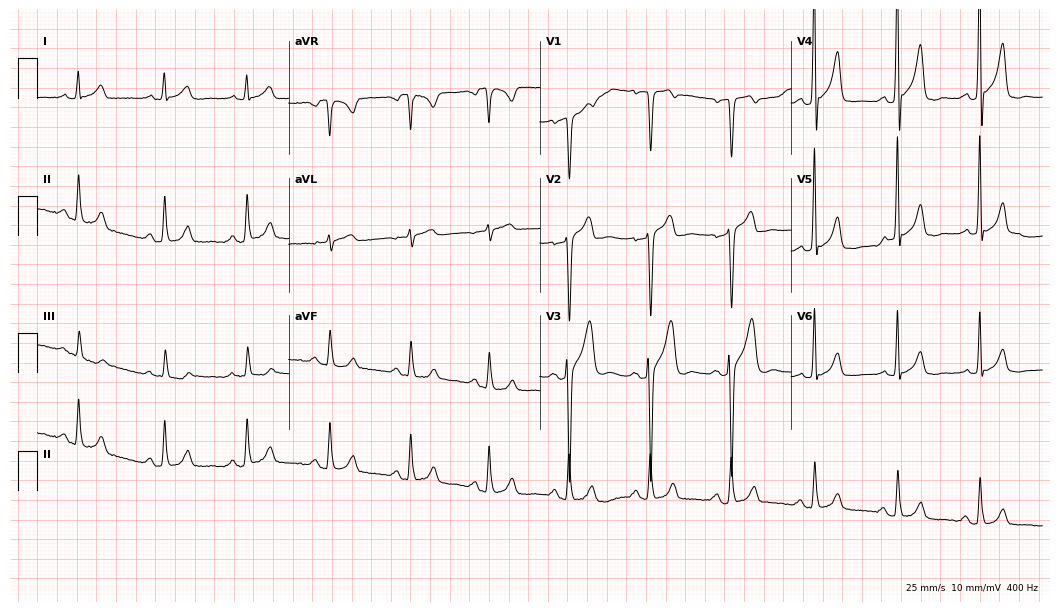
Electrocardiogram, a 43-year-old male. Overall reading on record: normal ECG.